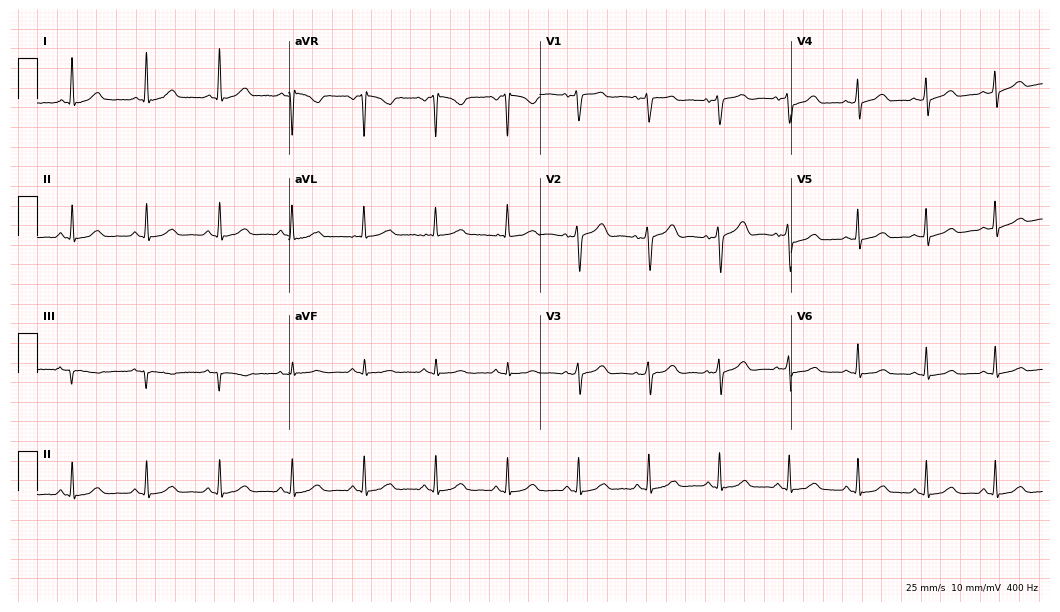
Electrocardiogram, a female patient, 54 years old. Of the six screened findings (first-degree AV block, right bundle branch block (RBBB), left bundle branch block (LBBB), sinus bradycardia, atrial fibrillation (AF), sinus tachycardia), none is recorded.